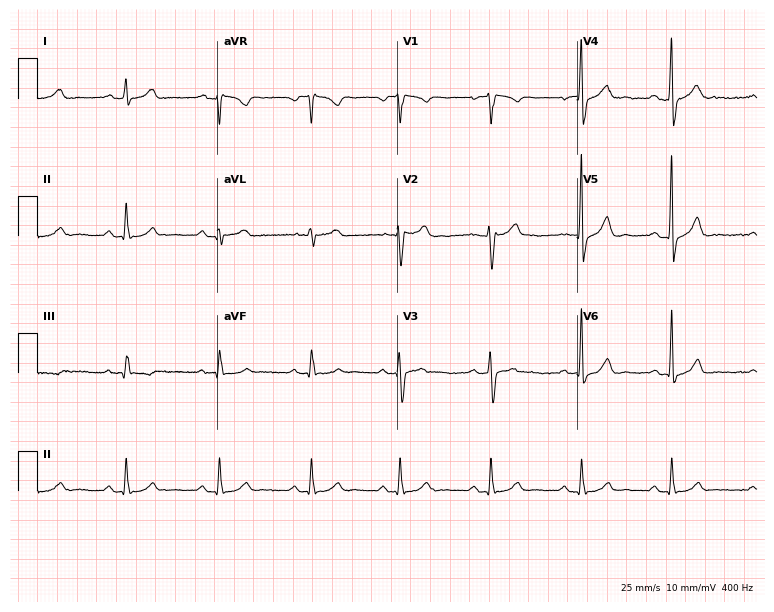
Resting 12-lead electrocardiogram. Patient: a man, 32 years old. Read as a normal ECG.